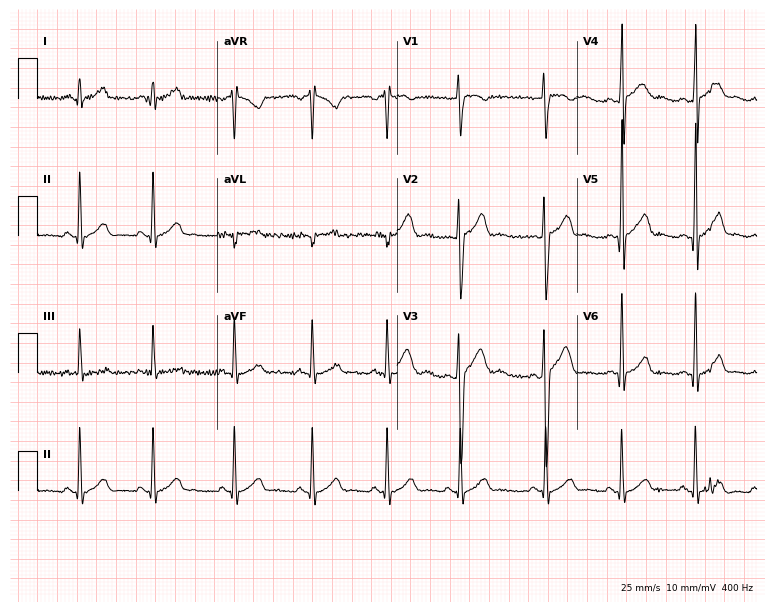
Standard 12-lead ECG recorded from a male patient, 22 years old (7.3-second recording at 400 Hz). Read as a normal ECG.